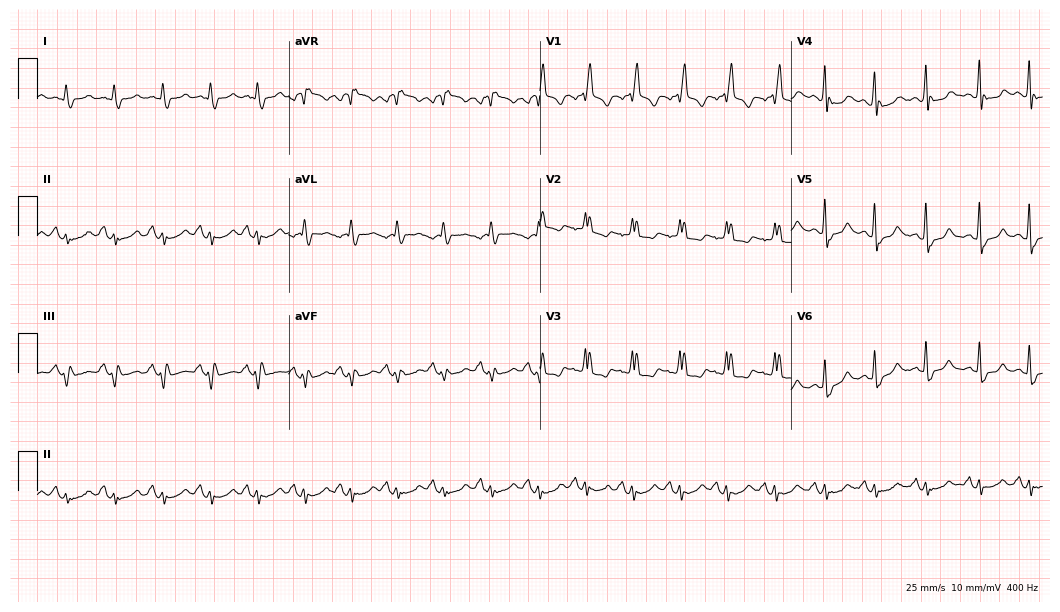
Standard 12-lead ECG recorded from a male, 79 years old (10.2-second recording at 400 Hz). The tracing shows right bundle branch block, sinus tachycardia (a sinus rate of 100 beats per minute or more).